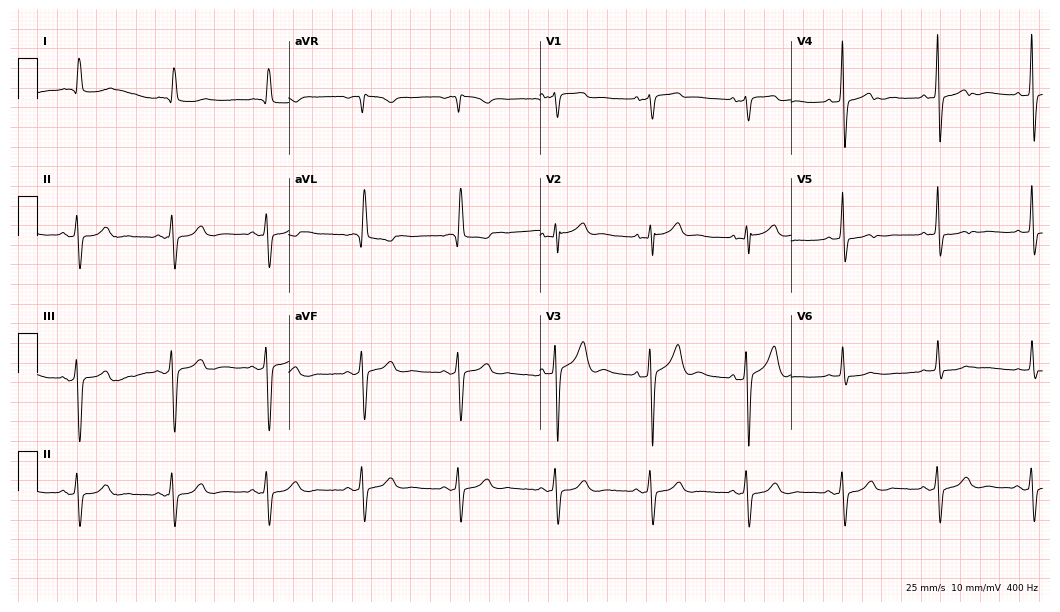
Electrocardiogram (10.2-second recording at 400 Hz), an 83-year-old woman. Of the six screened findings (first-degree AV block, right bundle branch block, left bundle branch block, sinus bradycardia, atrial fibrillation, sinus tachycardia), none is recorded.